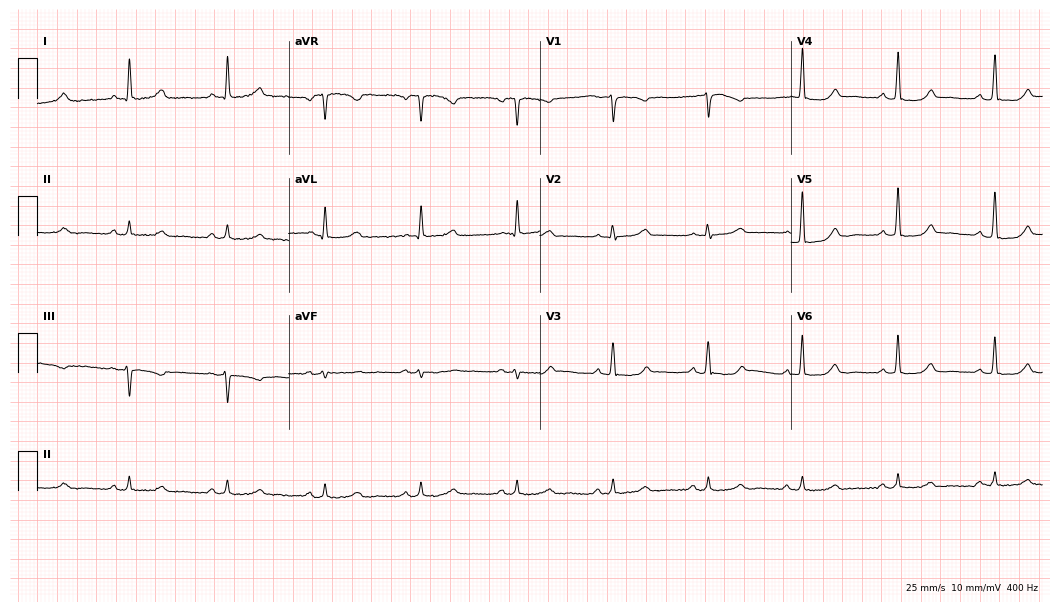
Resting 12-lead electrocardiogram (10.2-second recording at 400 Hz). Patient: a female, 64 years old. None of these six findings is recorded: first-degree AV block, right bundle branch block (RBBB), left bundle branch block (LBBB), sinus bradycardia, atrial fibrillation (AF), sinus tachycardia.